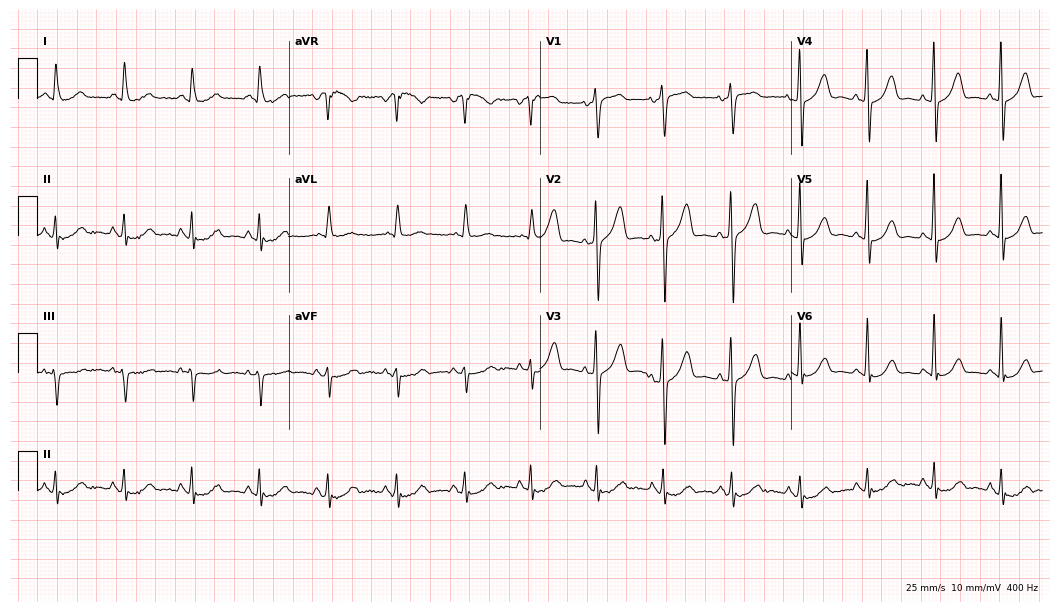
12-lead ECG from a female patient, 83 years old. Labelled as a normal ECG.